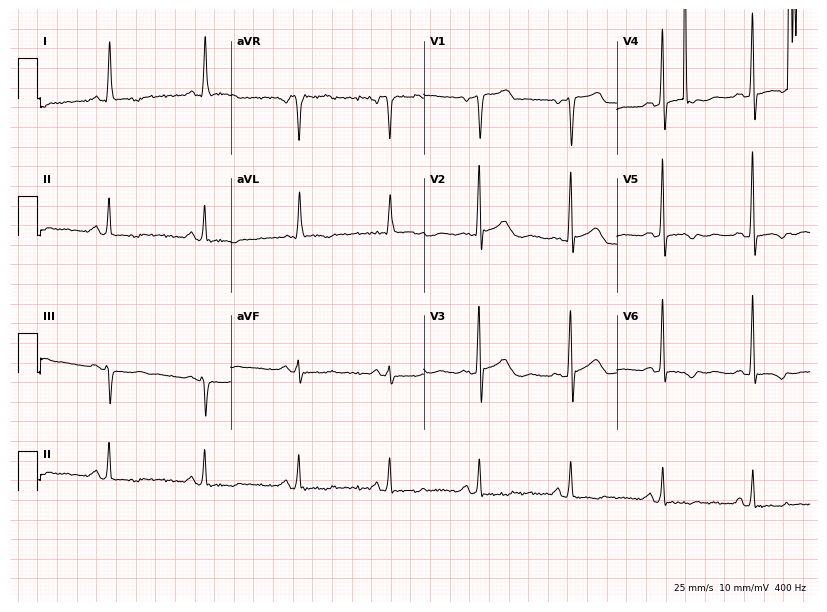
Standard 12-lead ECG recorded from a 63-year-old woman (7.9-second recording at 400 Hz). None of these six findings is recorded: first-degree AV block, right bundle branch block (RBBB), left bundle branch block (LBBB), sinus bradycardia, atrial fibrillation (AF), sinus tachycardia. Only these six findings were labelled.